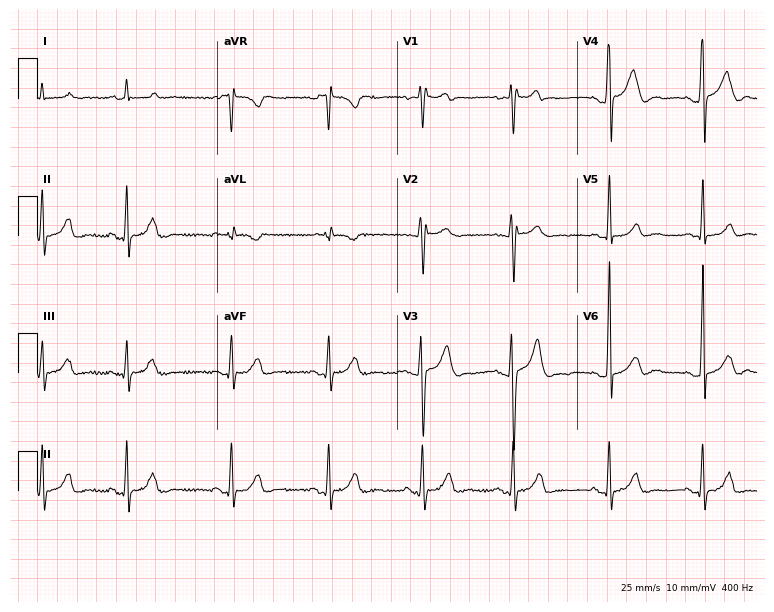
12-lead ECG from a 23-year-old male. No first-degree AV block, right bundle branch block, left bundle branch block, sinus bradycardia, atrial fibrillation or sinus tachycardia recorded for this tracing.